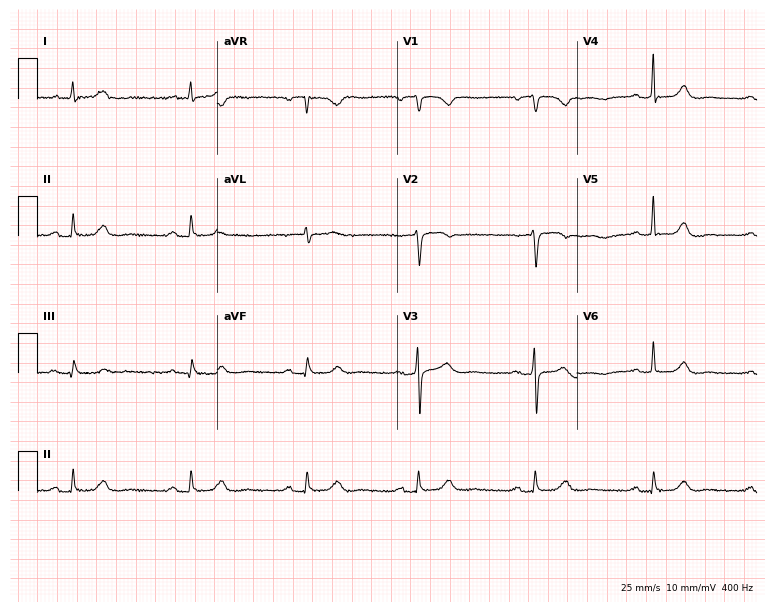
Resting 12-lead electrocardiogram. Patient: a 58-year-old female. None of these six findings is recorded: first-degree AV block, right bundle branch block, left bundle branch block, sinus bradycardia, atrial fibrillation, sinus tachycardia. Findings outside these six are not listed.